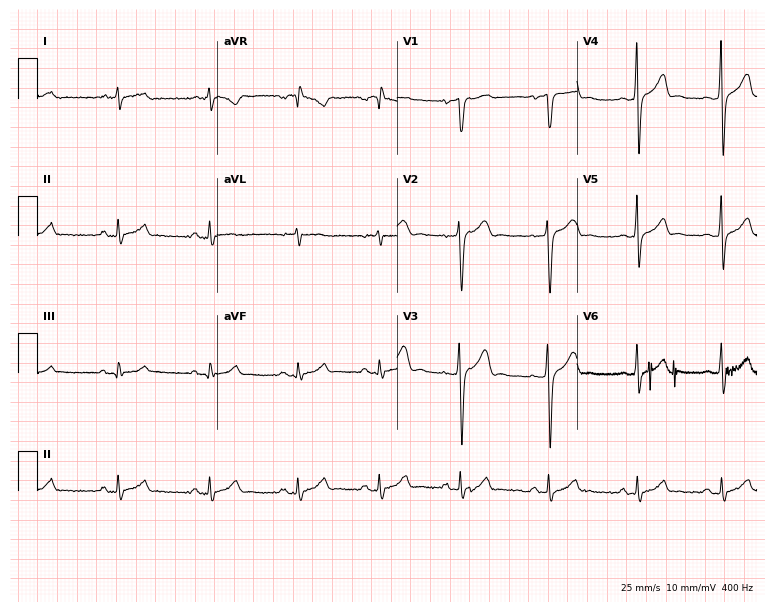
ECG — a man, 35 years old. Labelled as a normal ECG.